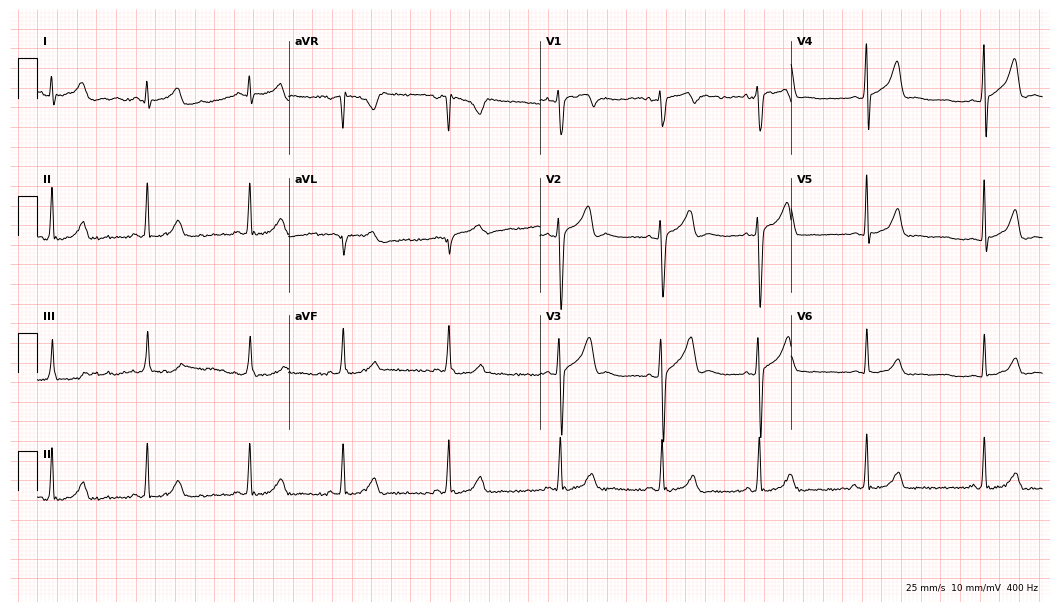
ECG — a male patient, 17 years old. Screened for six findings — first-degree AV block, right bundle branch block, left bundle branch block, sinus bradycardia, atrial fibrillation, sinus tachycardia — none is recorded. Other findings, if any, are not listed.